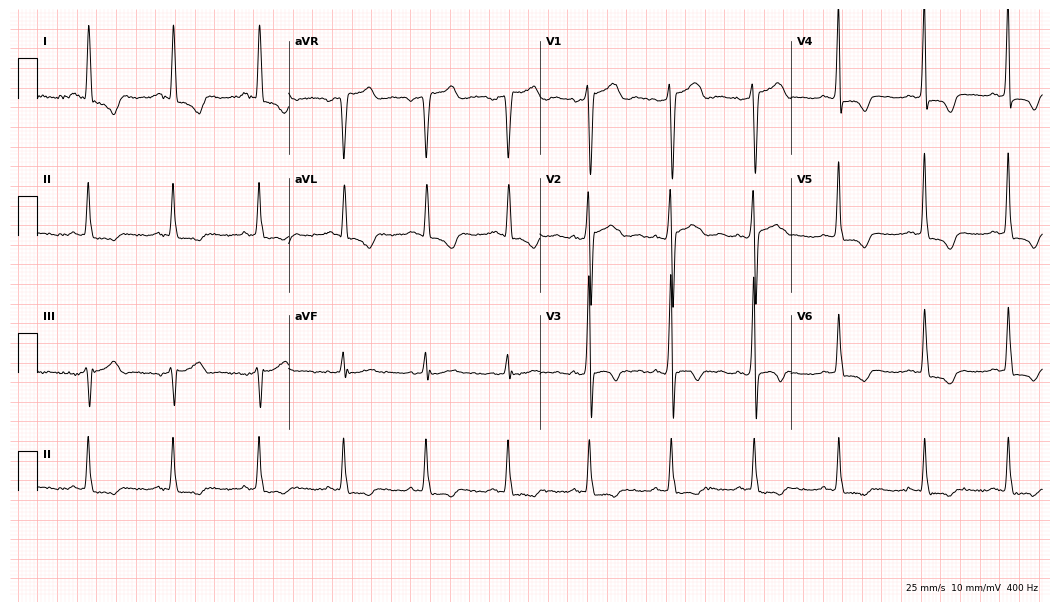
Standard 12-lead ECG recorded from a 43-year-old man (10.2-second recording at 400 Hz). None of these six findings is recorded: first-degree AV block, right bundle branch block, left bundle branch block, sinus bradycardia, atrial fibrillation, sinus tachycardia. Other findings, if any, are not listed.